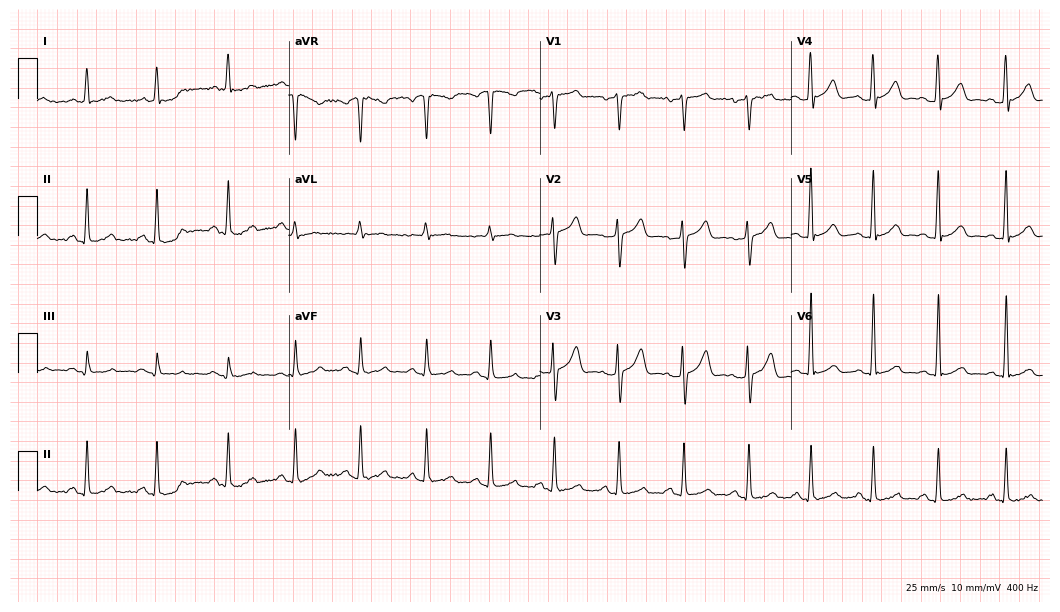
12-lead ECG (10.2-second recording at 400 Hz) from a 38-year-old man. Labelled as a normal ECG.